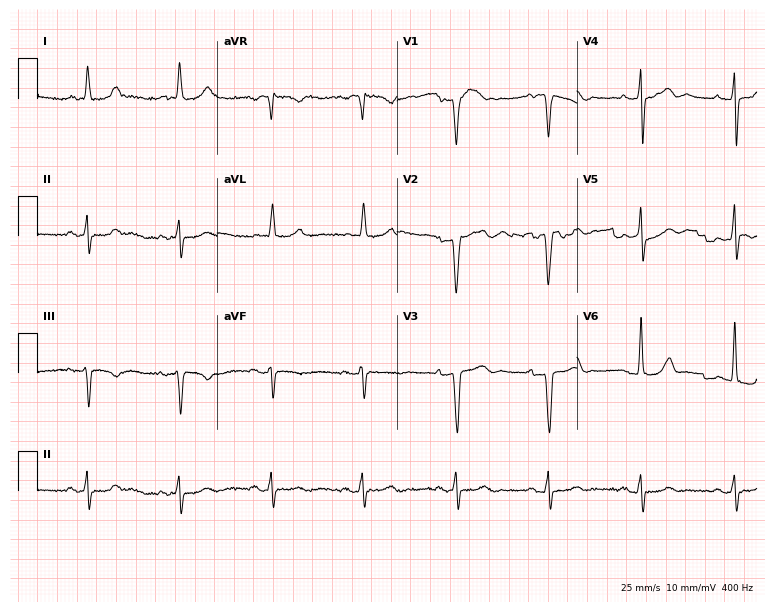
Resting 12-lead electrocardiogram. Patient: a 68-year-old female. None of these six findings is recorded: first-degree AV block, right bundle branch block (RBBB), left bundle branch block (LBBB), sinus bradycardia, atrial fibrillation (AF), sinus tachycardia. Other findings, if any, are not listed.